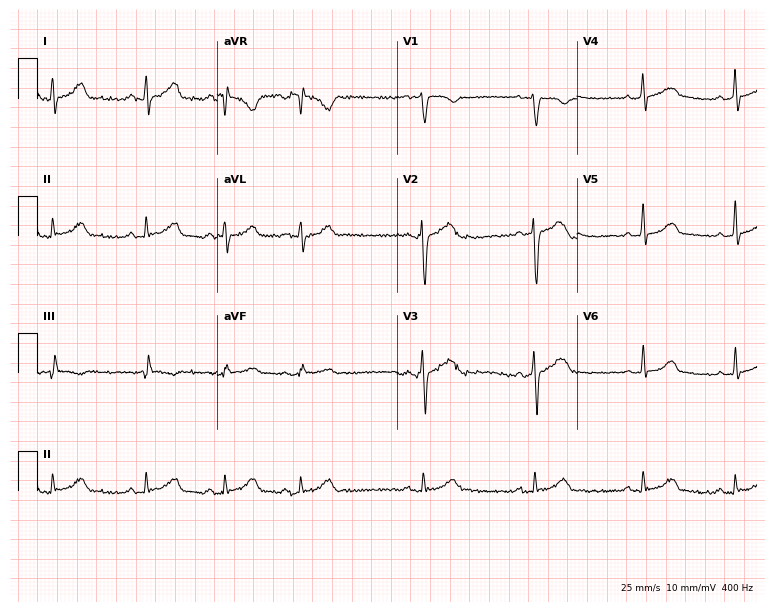
Standard 12-lead ECG recorded from an 18-year-old male (7.3-second recording at 400 Hz). Read as a normal ECG.